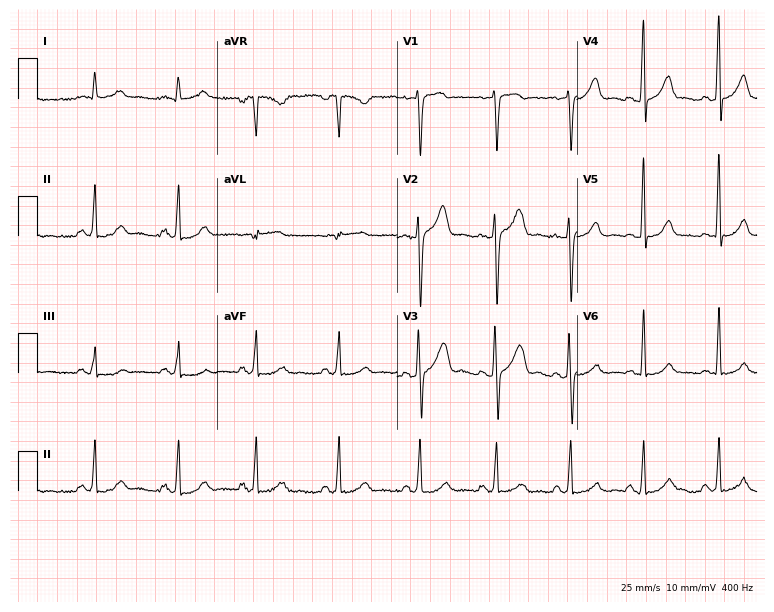
12-lead ECG (7.3-second recording at 400 Hz) from a male patient, 45 years old. Labelled as a normal ECG.